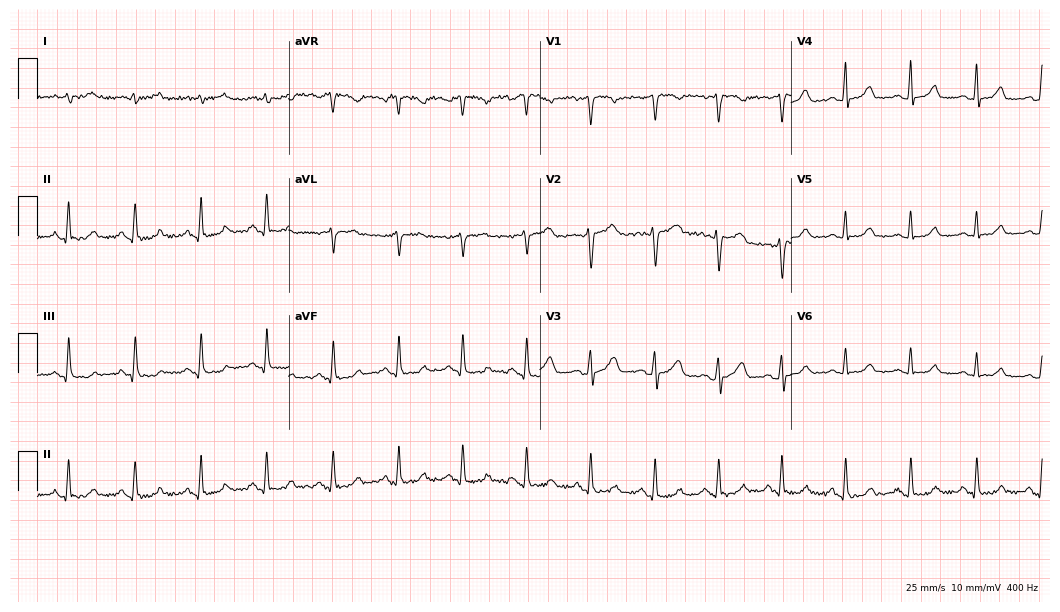
ECG (10.2-second recording at 400 Hz) — a woman, 44 years old. Screened for six findings — first-degree AV block, right bundle branch block, left bundle branch block, sinus bradycardia, atrial fibrillation, sinus tachycardia — none is recorded. Other findings, if any, are not listed.